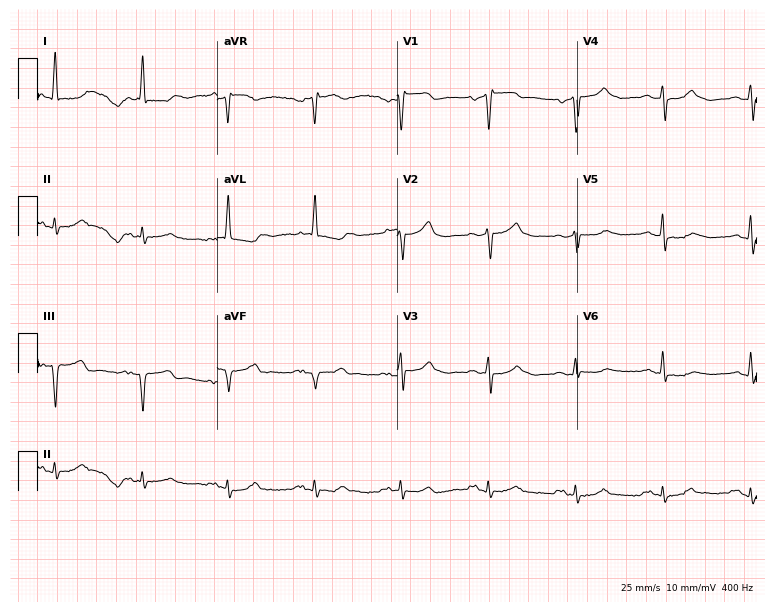
Standard 12-lead ECG recorded from a 60-year-old man. None of these six findings is recorded: first-degree AV block, right bundle branch block (RBBB), left bundle branch block (LBBB), sinus bradycardia, atrial fibrillation (AF), sinus tachycardia.